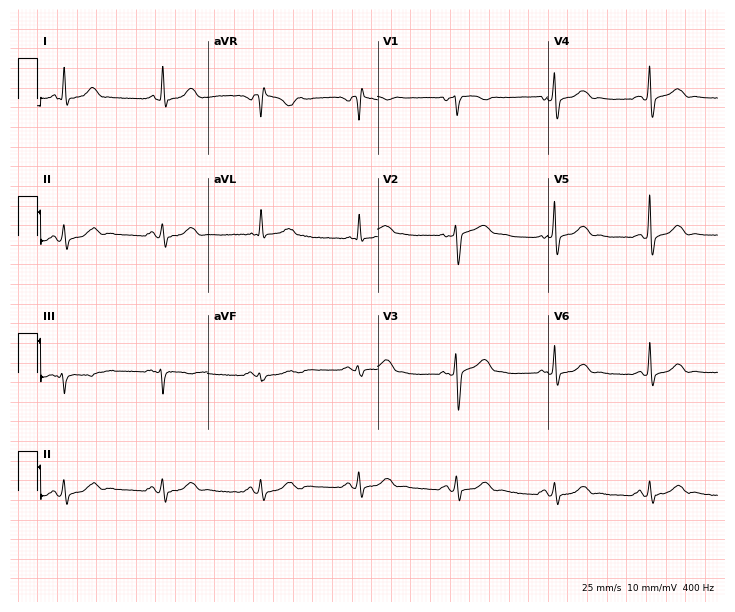
12-lead ECG from a 56-year-old woman. No first-degree AV block, right bundle branch block, left bundle branch block, sinus bradycardia, atrial fibrillation or sinus tachycardia recorded for this tracing. Other findings, if any, are not listed.